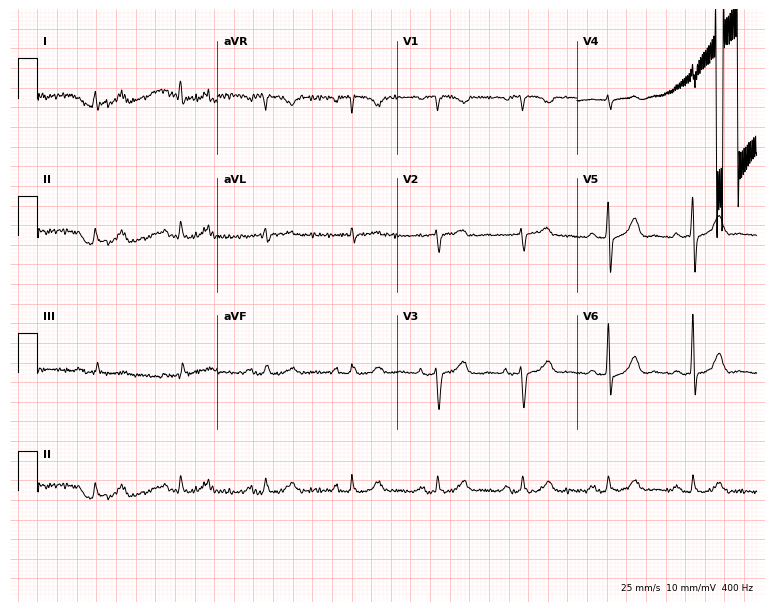
Standard 12-lead ECG recorded from a male patient, 65 years old (7.3-second recording at 400 Hz). Read as a normal ECG.